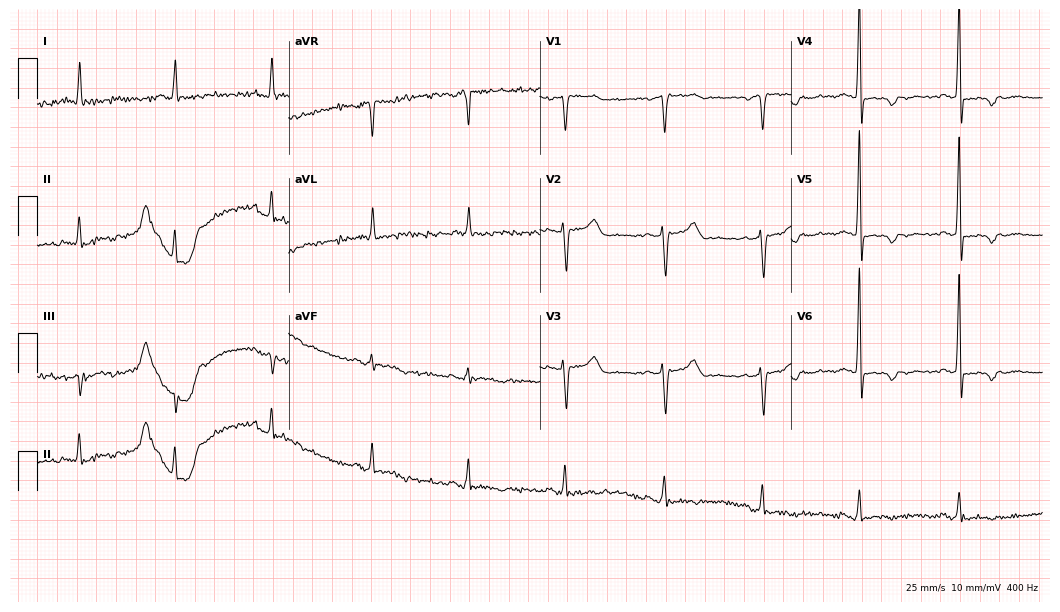
12-lead ECG from a female, 71 years old (10.2-second recording at 400 Hz). No first-degree AV block, right bundle branch block (RBBB), left bundle branch block (LBBB), sinus bradycardia, atrial fibrillation (AF) or sinus tachycardia recorded for this tracing.